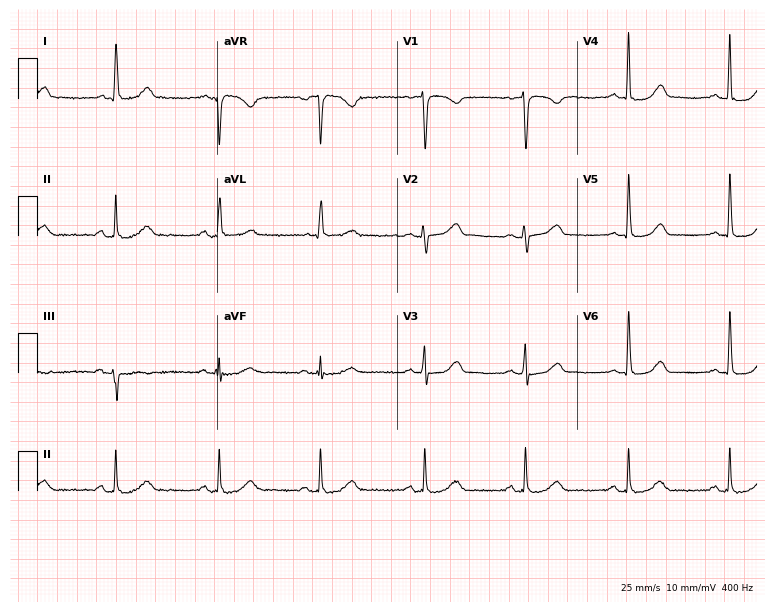
12-lead ECG from a 77-year-old female patient. No first-degree AV block, right bundle branch block (RBBB), left bundle branch block (LBBB), sinus bradycardia, atrial fibrillation (AF) or sinus tachycardia recorded for this tracing.